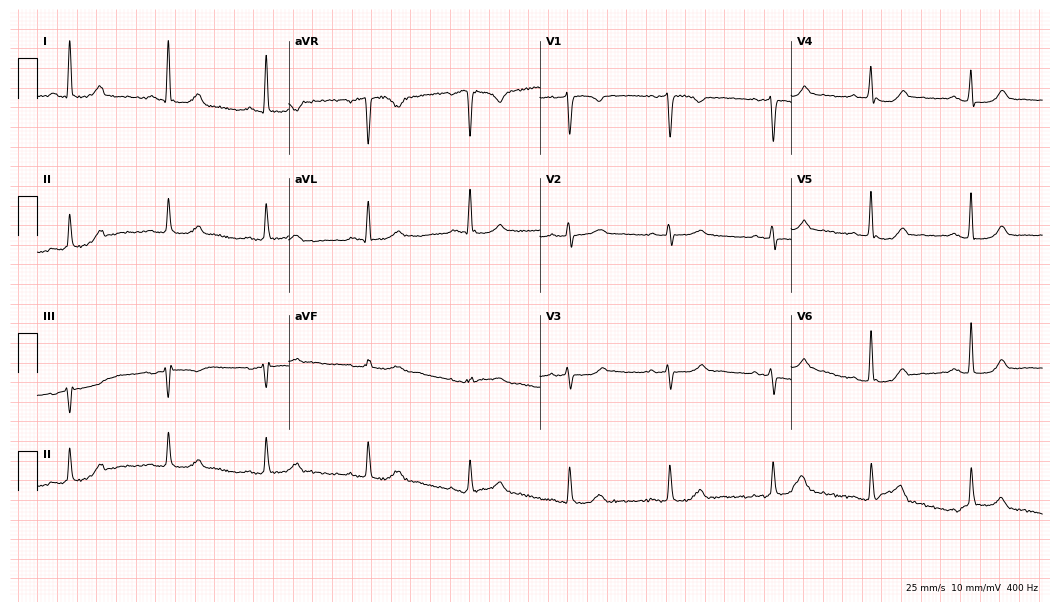
Resting 12-lead electrocardiogram (10.2-second recording at 400 Hz). Patient: a female, 63 years old. Read as a normal ECG.